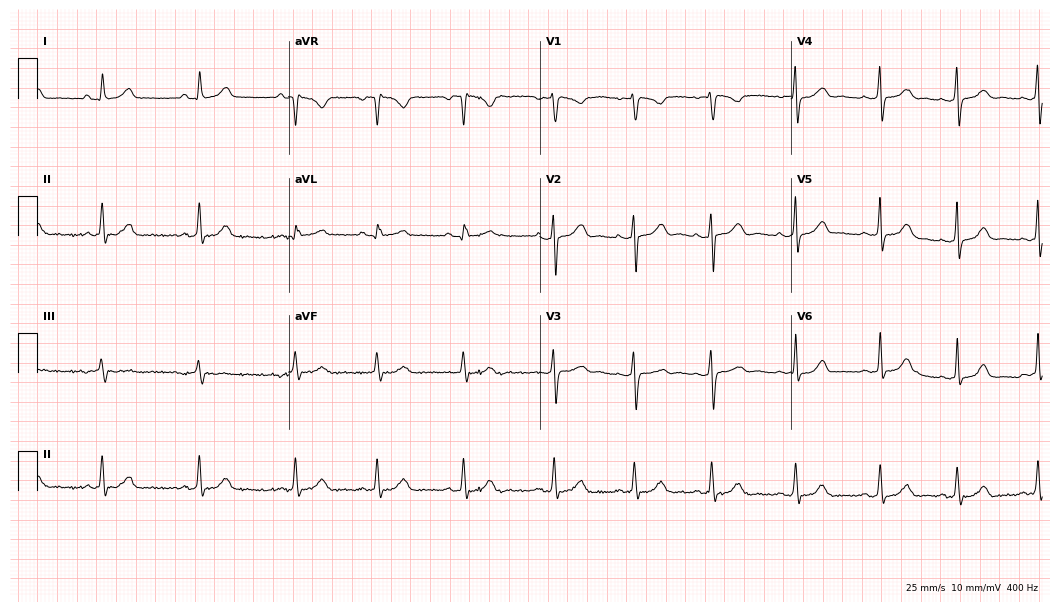
12-lead ECG from a 20-year-old female. Recorded interpretation: within normal limits.